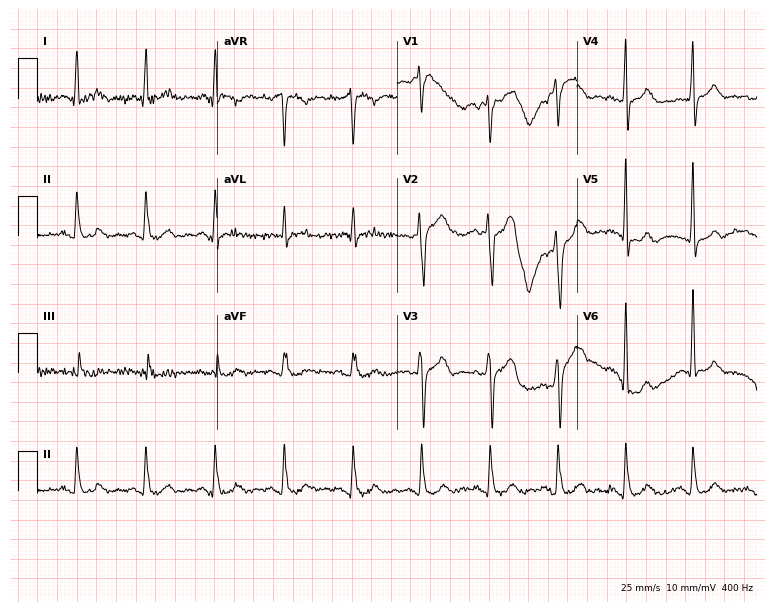
12-lead ECG (7.3-second recording at 400 Hz) from a 54-year-old male. Screened for six findings — first-degree AV block, right bundle branch block, left bundle branch block, sinus bradycardia, atrial fibrillation, sinus tachycardia — none is recorded.